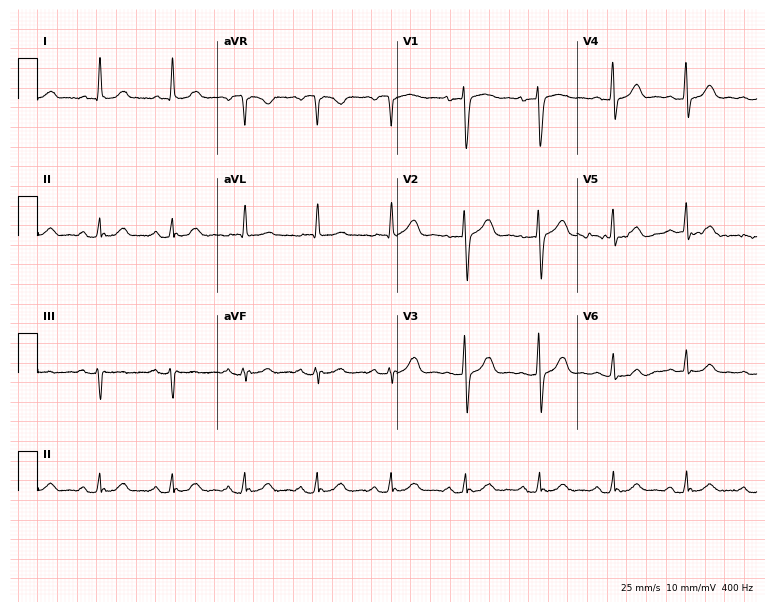
Resting 12-lead electrocardiogram (7.3-second recording at 400 Hz). Patient: a female, 75 years old. Read as a normal ECG.